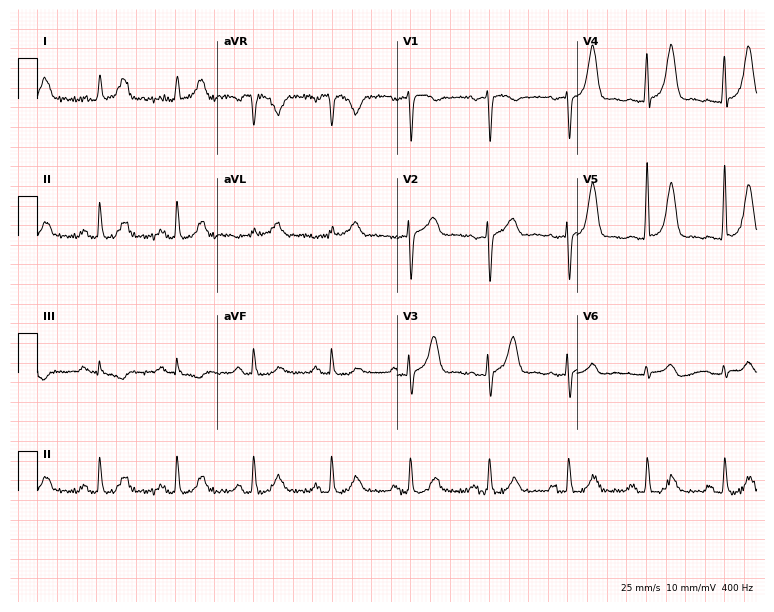
12-lead ECG from a female, 75 years old. No first-degree AV block, right bundle branch block, left bundle branch block, sinus bradycardia, atrial fibrillation or sinus tachycardia recorded for this tracing. Findings outside these six are not listed.